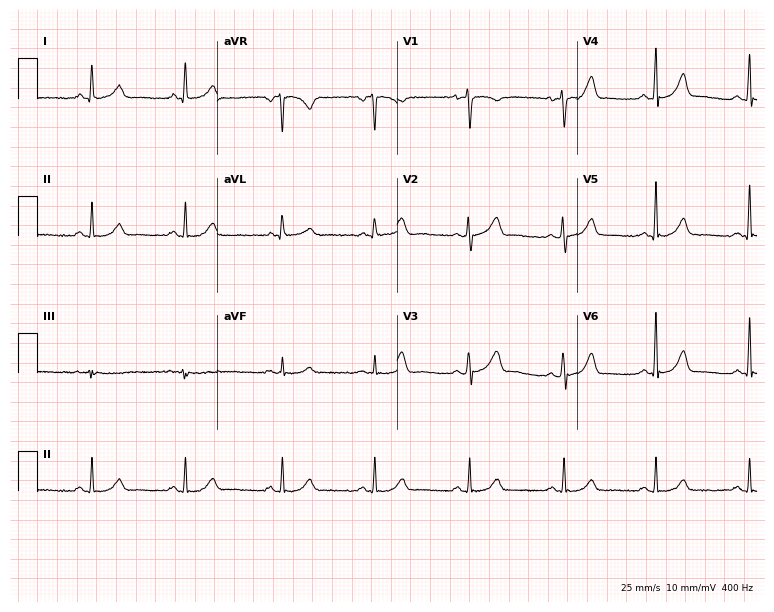
Resting 12-lead electrocardiogram (7.3-second recording at 400 Hz). Patient: a female, 49 years old. Read as a normal ECG.